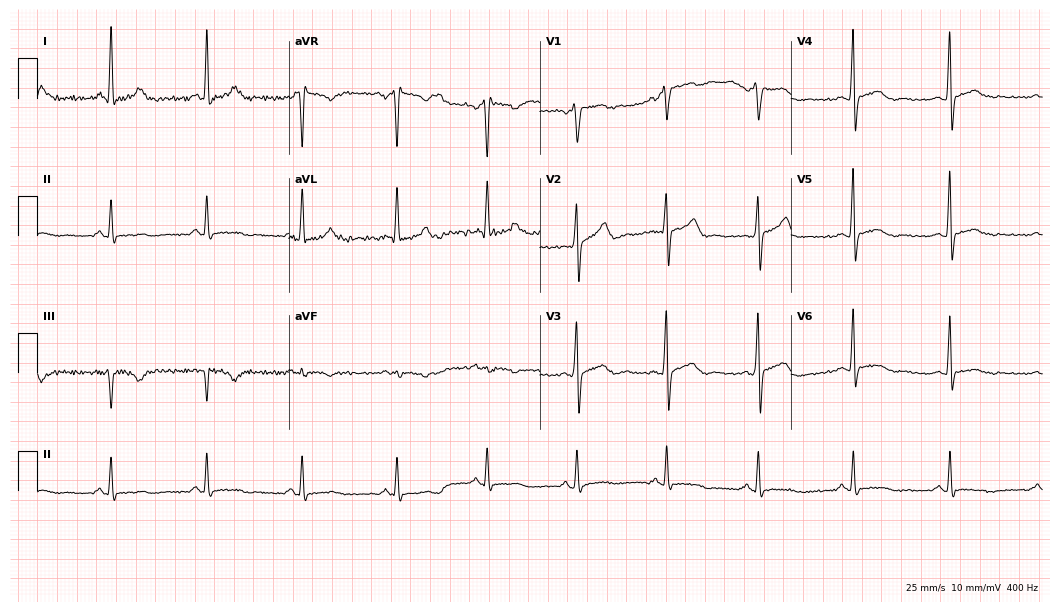
Electrocardiogram (10.2-second recording at 400 Hz), a female, 51 years old. Of the six screened findings (first-degree AV block, right bundle branch block (RBBB), left bundle branch block (LBBB), sinus bradycardia, atrial fibrillation (AF), sinus tachycardia), none is recorded. Other findings, if any, are not listed.